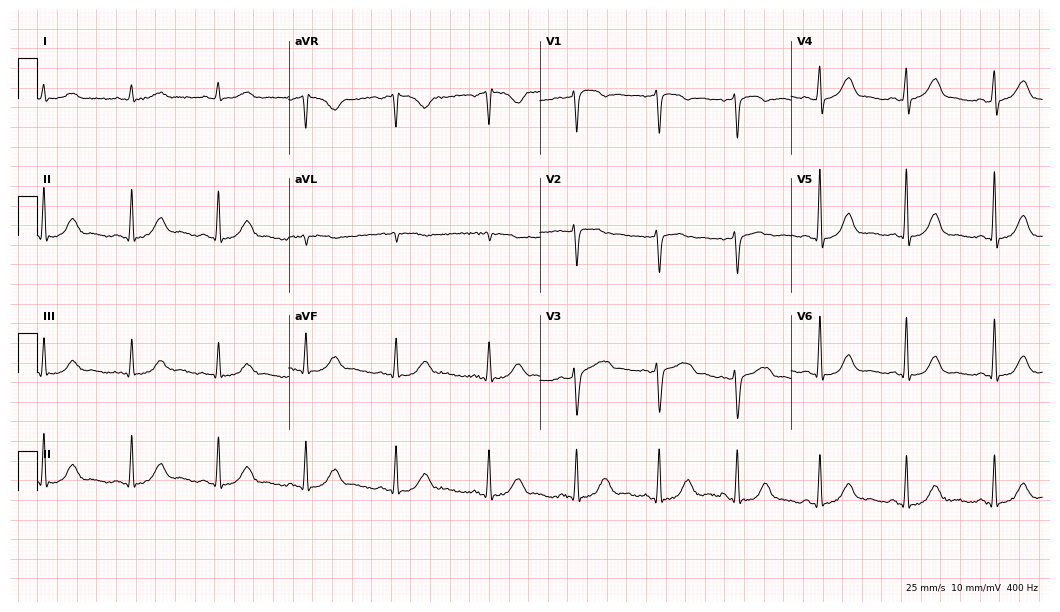
Electrocardiogram (10.2-second recording at 400 Hz), a female patient, 65 years old. Overall reading on record: normal ECG.